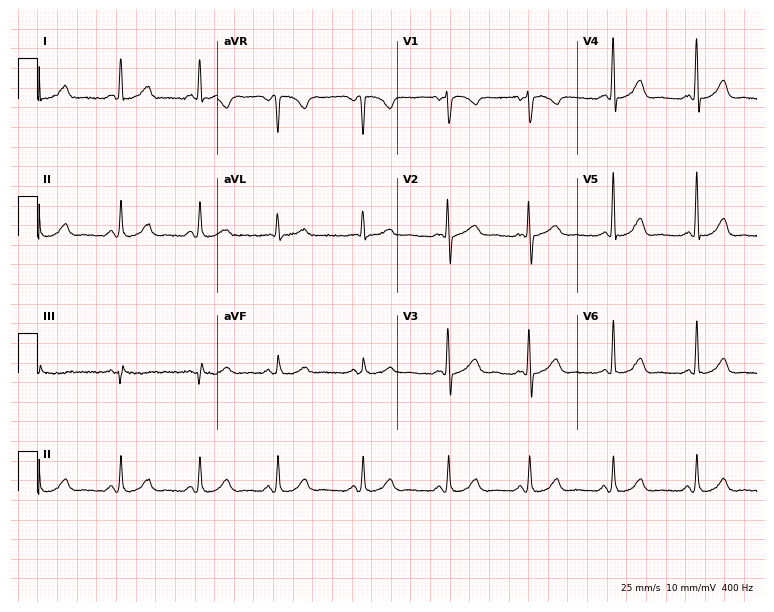
Standard 12-lead ECG recorded from a woman, 36 years old. Read as a normal ECG.